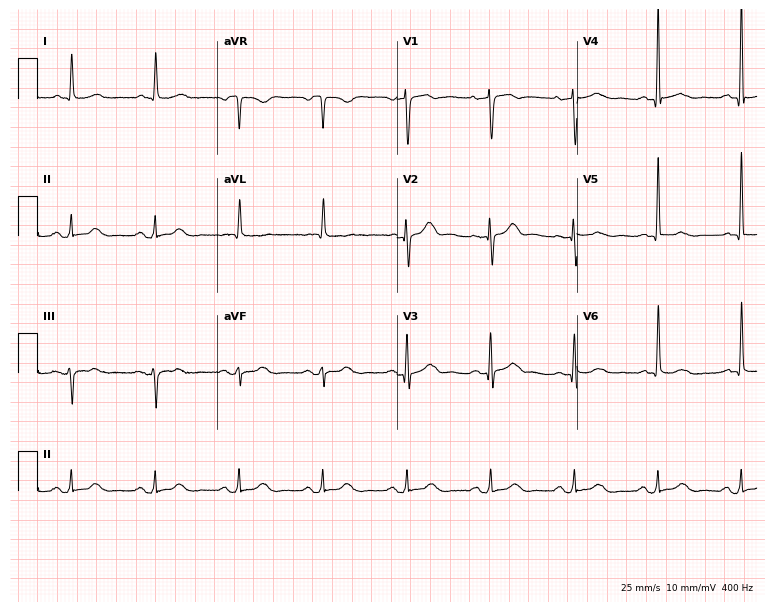
ECG (7.3-second recording at 400 Hz) — a female, 73 years old. Labelled as a normal ECG.